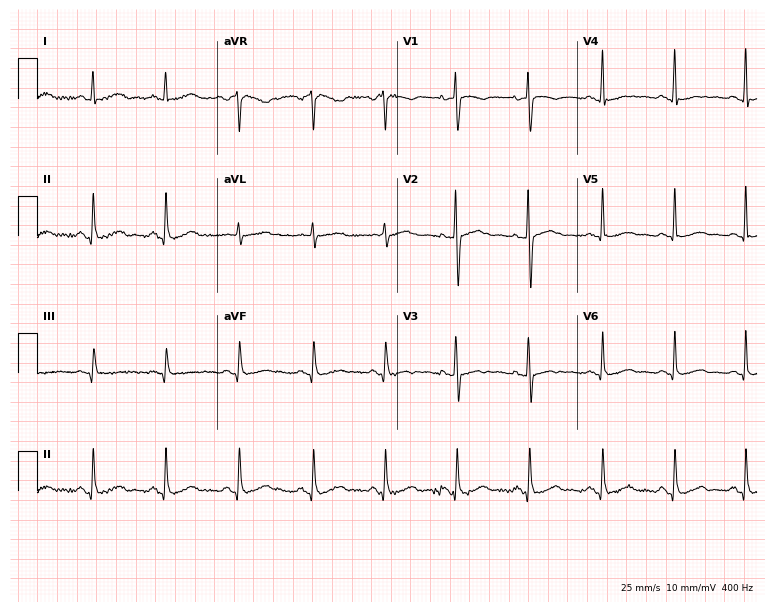
12-lead ECG from a female patient, 45 years old. Recorded interpretation: within normal limits.